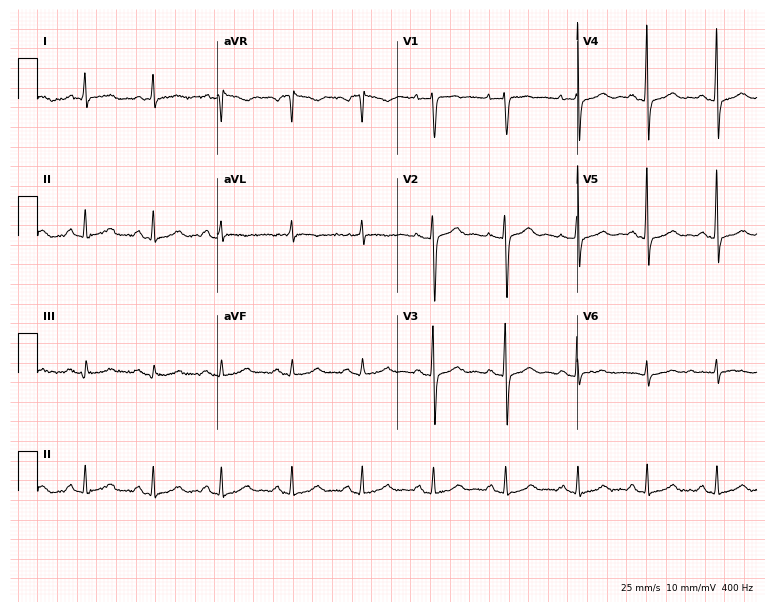
Resting 12-lead electrocardiogram. Patient: a female, 68 years old. None of these six findings is recorded: first-degree AV block, right bundle branch block, left bundle branch block, sinus bradycardia, atrial fibrillation, sinus tachycardia.